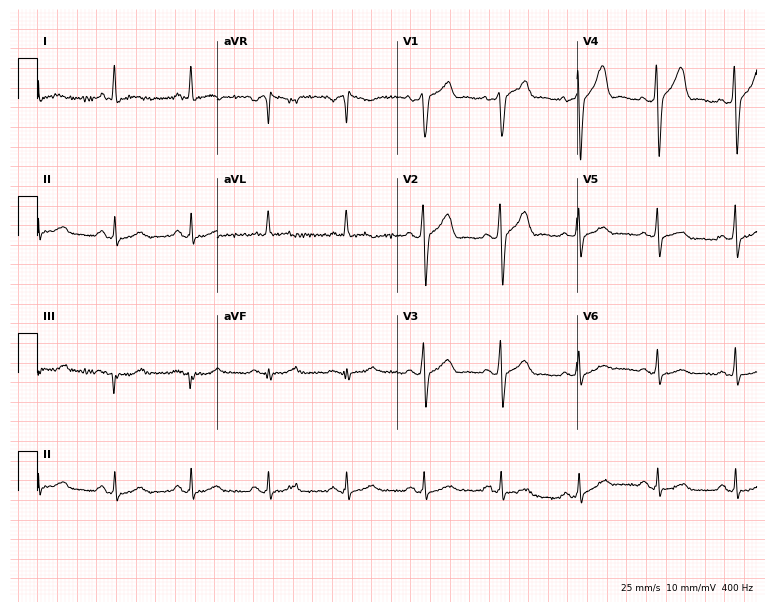
12-lead ECG (7.3-second recording at 400 Hz) from a man, 66 years old. Screened for six findings — first-degree AV block, right bundle branch block, left bundle branch block, sinus bradycardia, atrial fibrillation, sinus tachycardia — none is recorded.